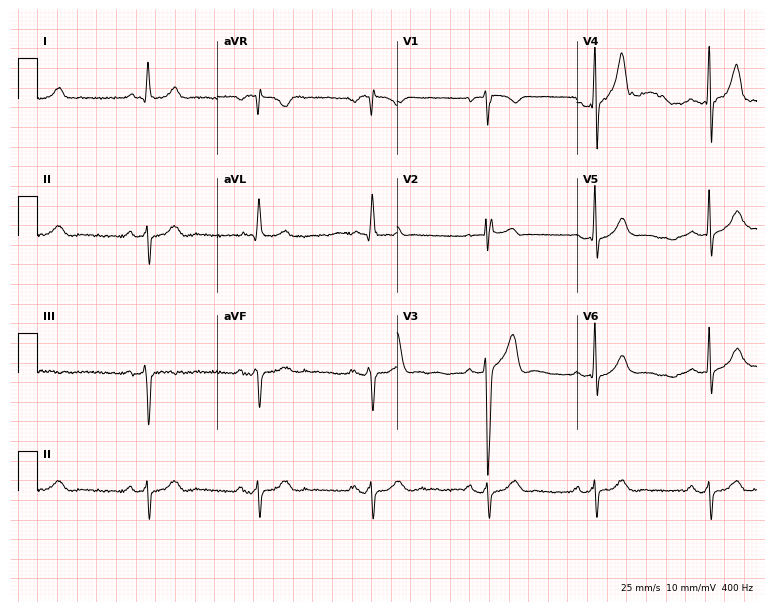
Standard 12-lead ECG recorded from a 51-year-old male (7.3-second recording at 400 Hz). None of these six findings is recorded: first-degree AV block, right bundle branch block, left bundle branch block, sinus bradycardia, atrial fibrillation, sinus tachycardia.